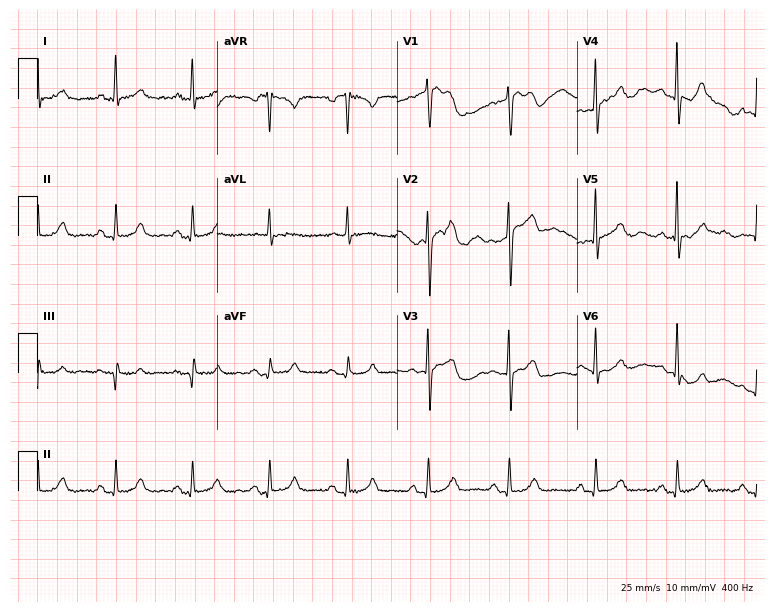
Electrocardiogram, a female patient, 85 years old. Overall reading on record: normal ECG.